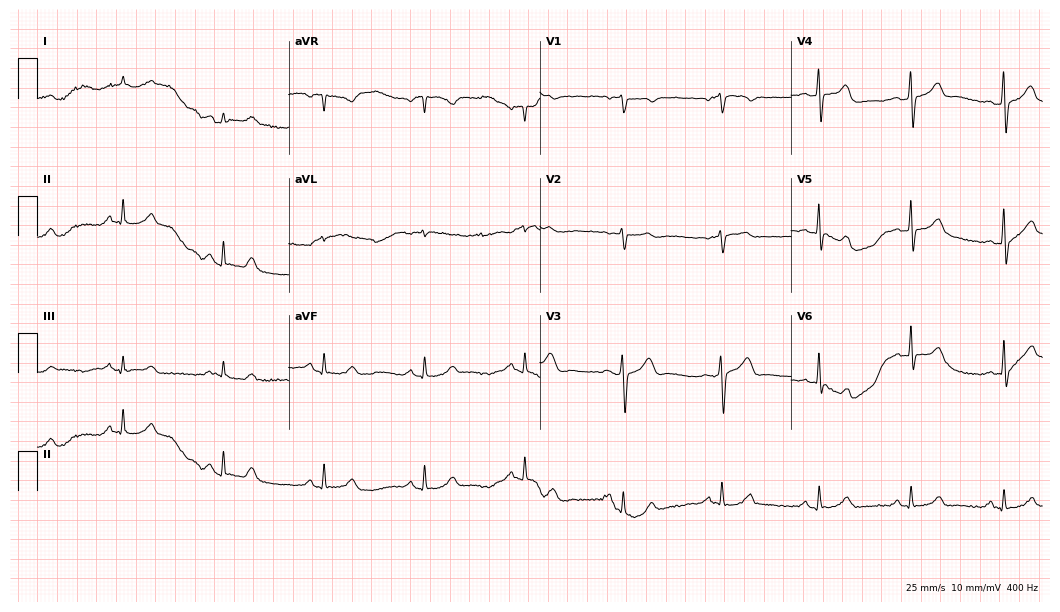
Standard 12-lead ECG recorded from a male patient, 70 years old. Read as a normal ECG.